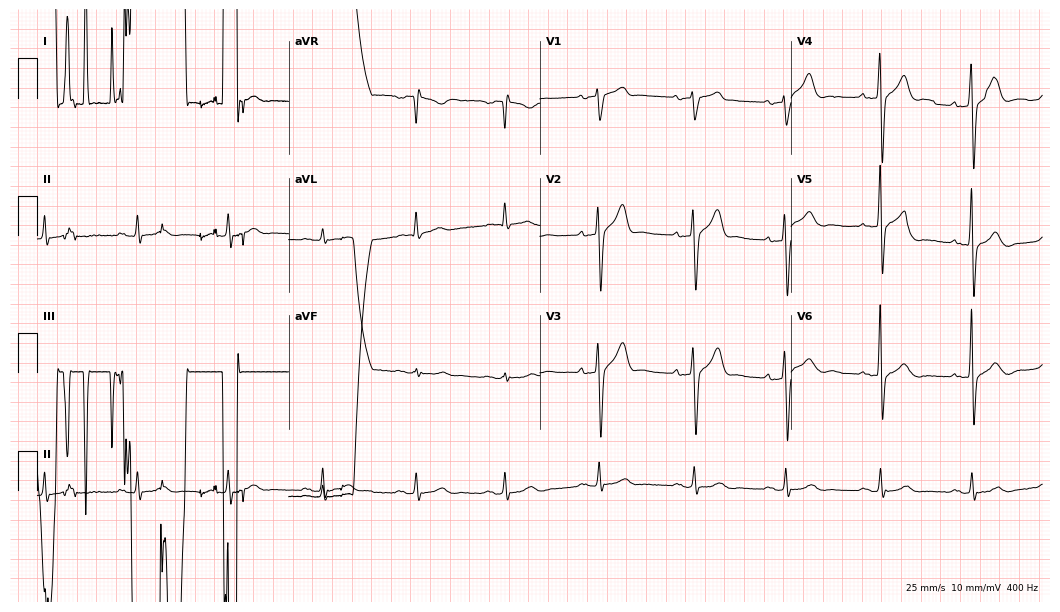
12-lead ECG from a male, 68 years old. No first-degree AV block, right bundle branch block, left bundle branch block, sinus bradycardia, atrial fibrillation or sinus tachycardia recorded for this tracing. Other findings, if any, are not listed.